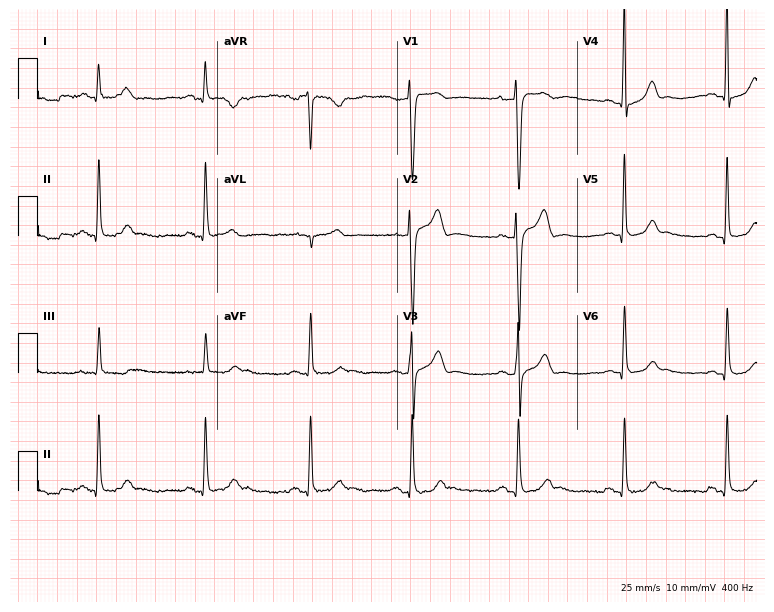
Electrocardiogram, a 39-year-old male patient. Of the six screened findings (first-degree AV block, right bundle branch block, left bundle branch block, sinus bradycardia, atrial fibrillation, sinus tachycardia), none is recorded. Findings outside these six are not listed.